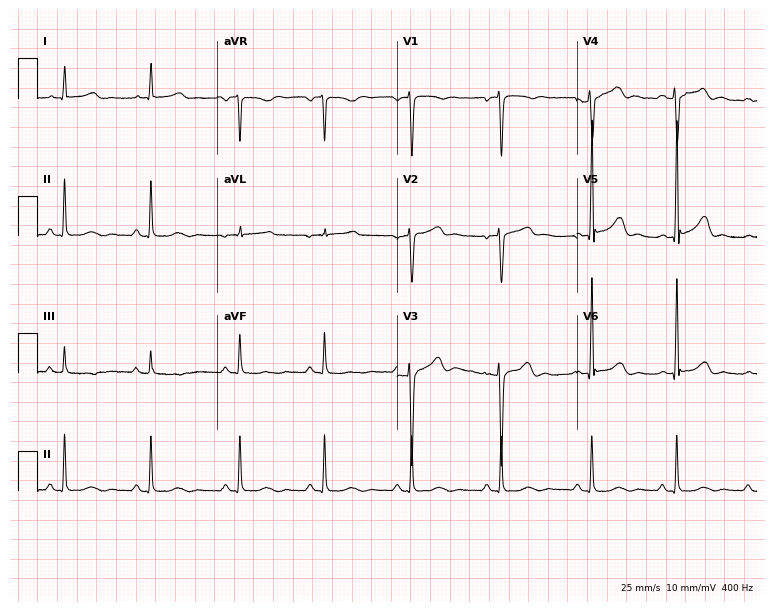
Electrocardiogram (7.3-second recording at 400 Hz), a female patient, 41 years old. Overall reading on record: normal ECG.